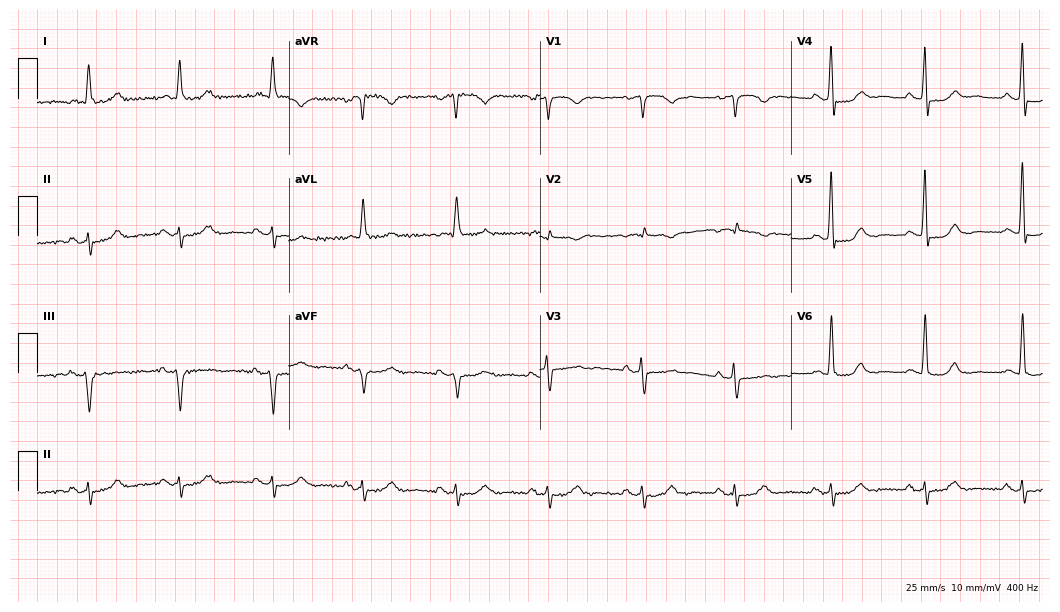
Electrocardiogram, a male, 76 years old. Of the six screened findings (first-degree AV block, right bundle branch block, left bundle branch block, sinus bradycardia, atrial fibrillation, sinus tachycardia), none is recorded.